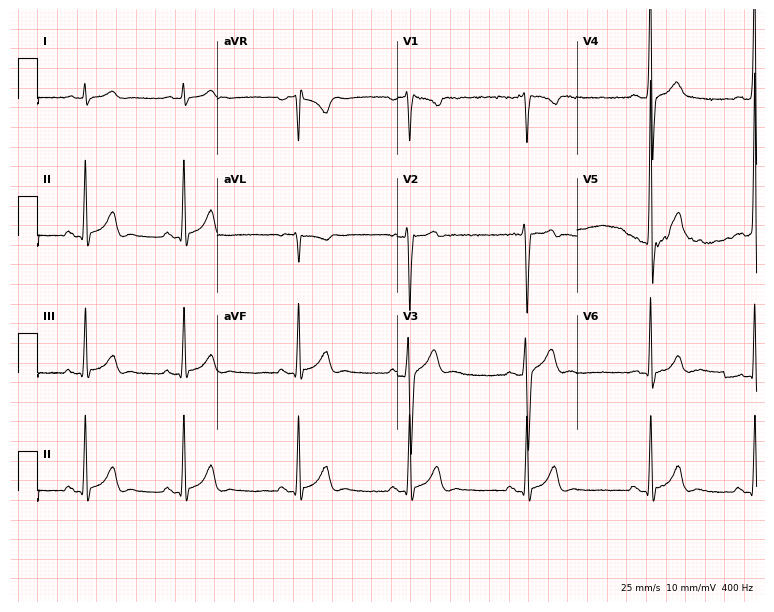
ECG — a male, 21 years old. Labelled as a normal ECG.